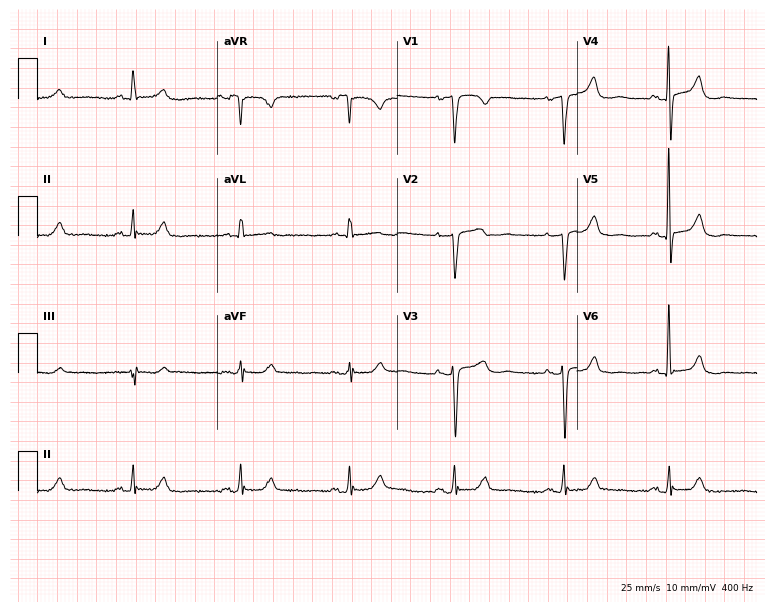
ECG (7.3-second recording at 400 Hz) — a woman, 53 years old. Screened for six findings — first-degree AV block, right bundle branch block, left bundle branch block, sinus bradycardia, atrial fibrillation, sinus tachycardia — none is recorded.